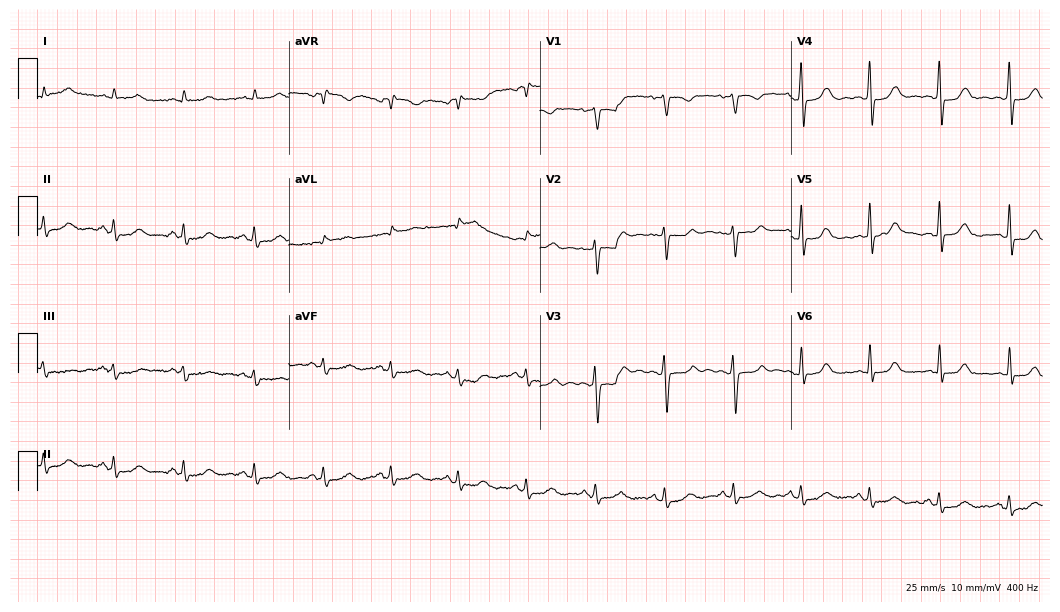
ECG (10.2-second recording at 400 Hz) — a 37-year-old female. Screened for six findings — first-degree AV block, right bundle branch block (RBBB), left bundle branch block (LBBB), sinus bradycardia, atrial fibrillation (AF), sinus tachycardia — none is recorded. Other findings, if any, are not listed.